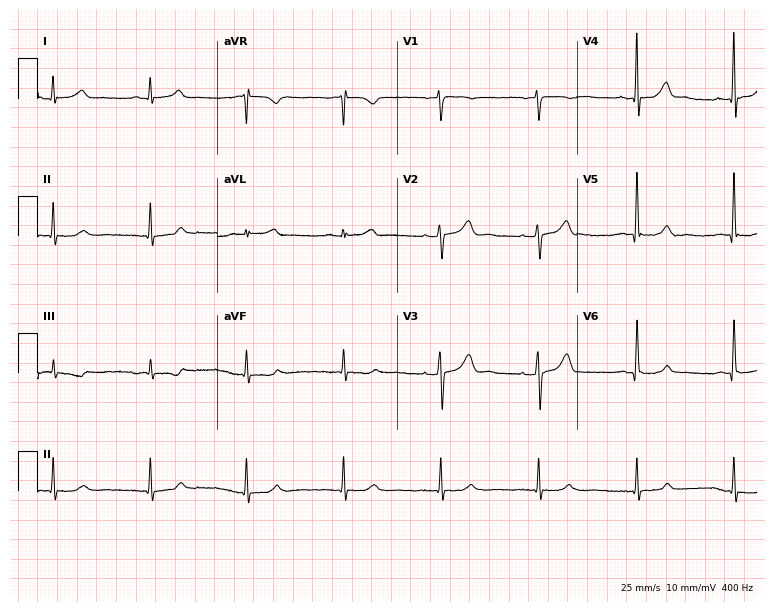
12-lead ECG (7.3-second recording at 400 Hz) from a male, 58 years old. Labelled as a normal ECG.